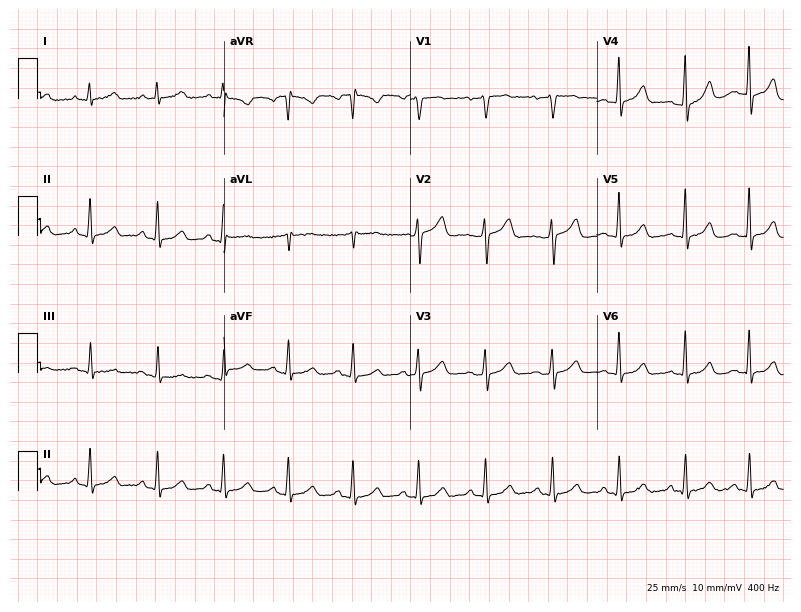
Standard 12-lead ECG recorded from a female patient, 48 years old. Read as a normal ECG.